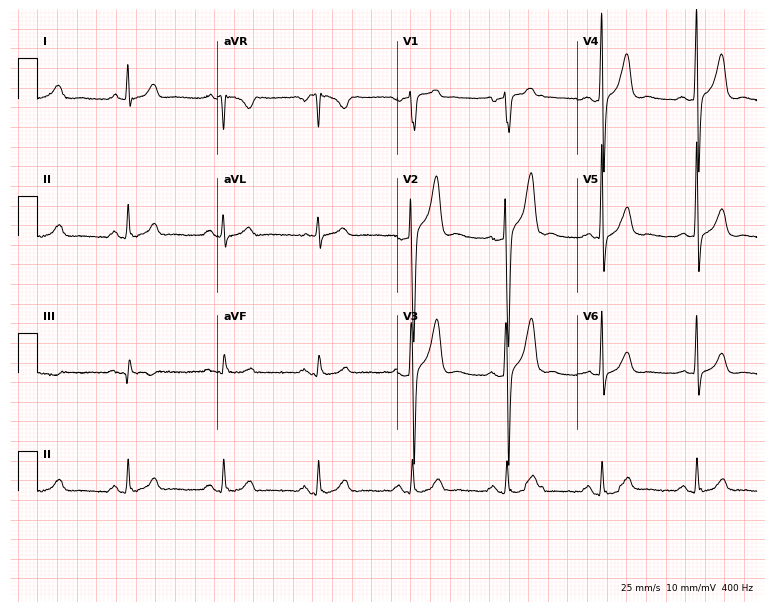
12-lead ECG from a 64-year-old man. Screened for six findings — first-degree AV block, right bundle branch block, left bundle branch block, sinus bradycardia, atrial fibrillation, sinus tachycardia — none is recorded.